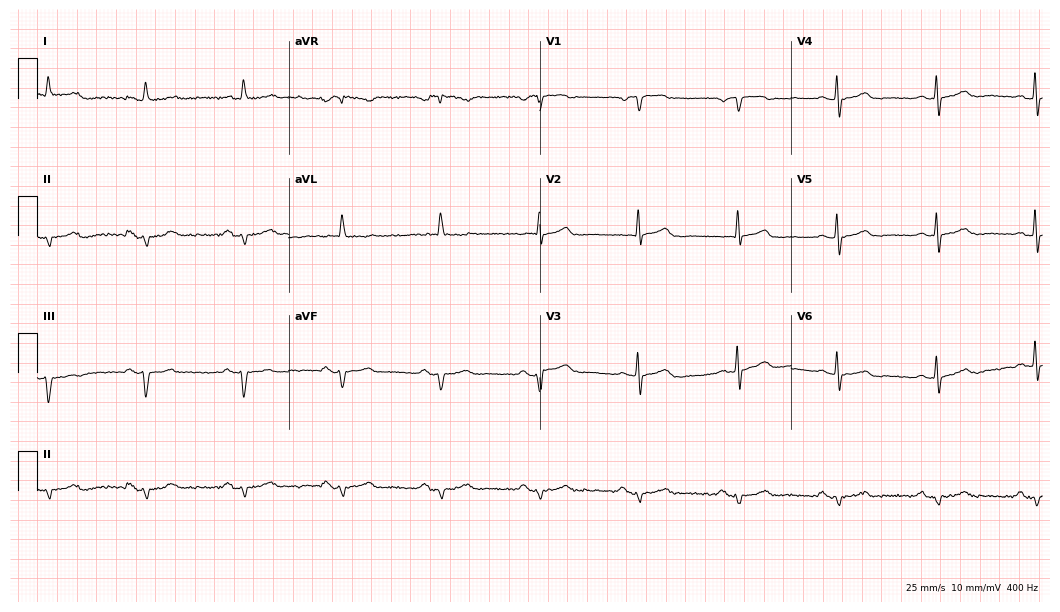
Resting 12-lead electrocardiogram (10.2-second recording at 400 Hz). Patient: a 78-year-old male. None of these six findings is recorded: first-degree AV block, right bundle branch block (RBBB), left bundle branch block (LBBB), sinus bradycardia, atrial fibrillation (AF), sinus tachycardia.